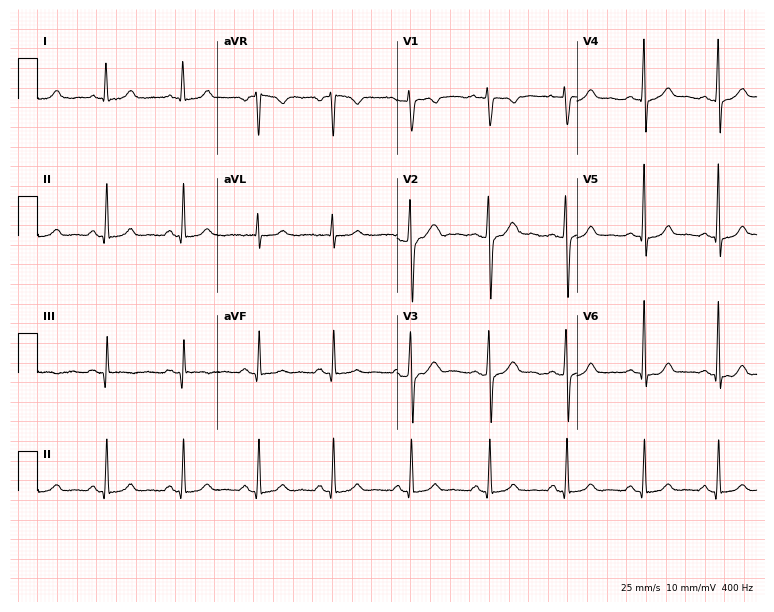
12-lead ECG (7.3-second recording at 400 Hz) from an 18-year-old woman. Screened for six findings — first-degree AV block, right bundle branch block, left bundle branch block, sinus bradycardia, atrial fibrillation, sinus tachycardia — none is recorded.